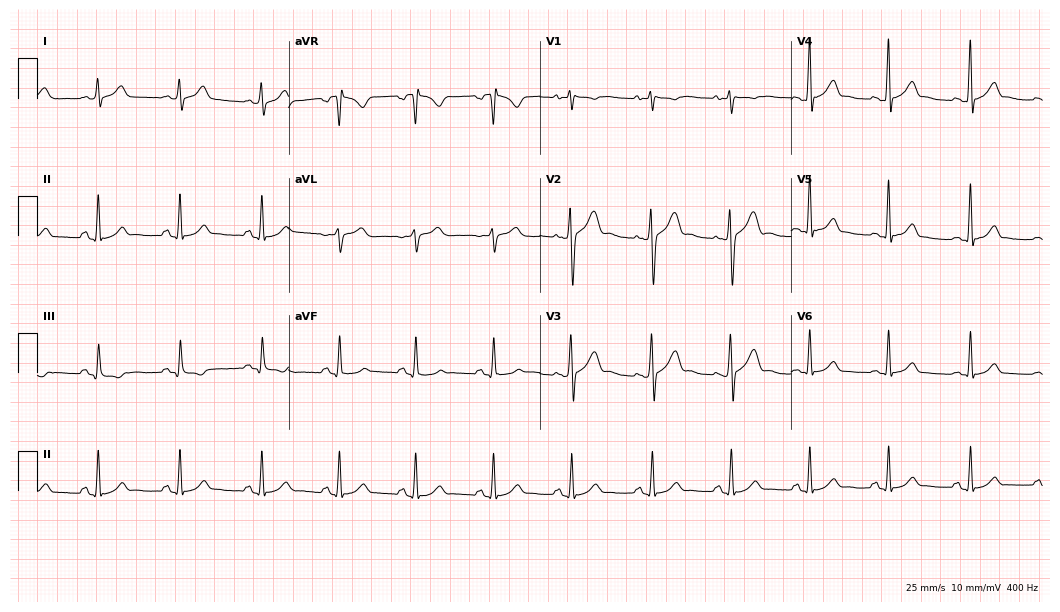
Standard 12-lead ECG recorded from a 32-year-old man (10.2-second recording at 400 Hz). Read as a normal ECG.